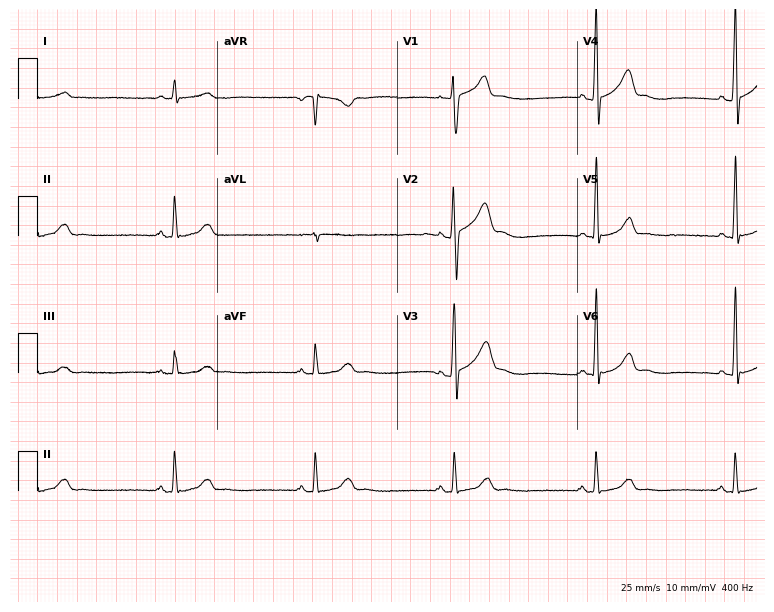
ECG — a 65-year-old male patient. Findings include sinus bradycardia (a sinus rate of 50 beats per minute or less).